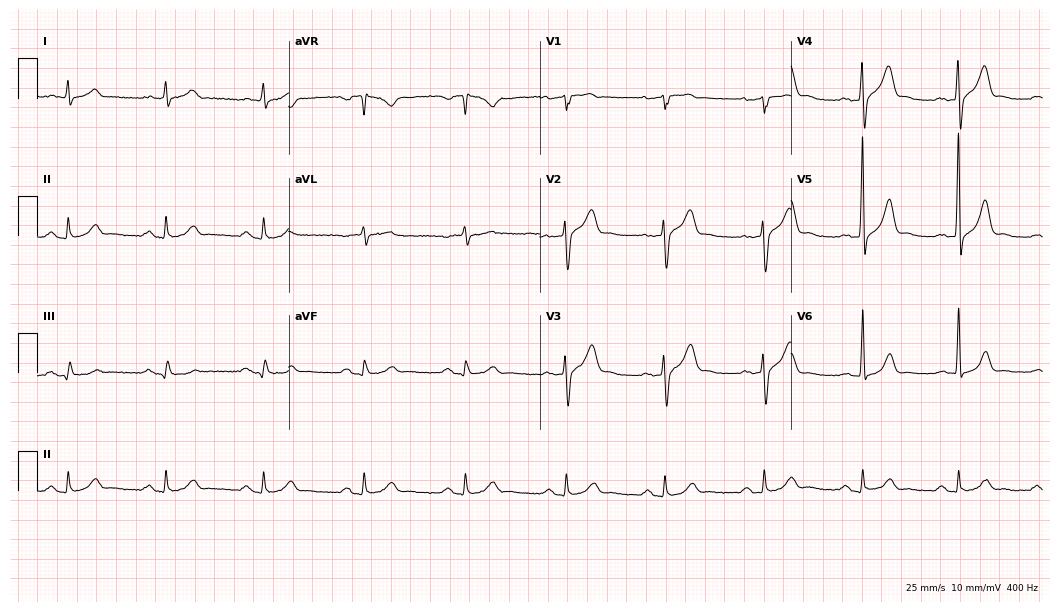
ECG — a male, 64 years old. Findings include first-degree AV block.